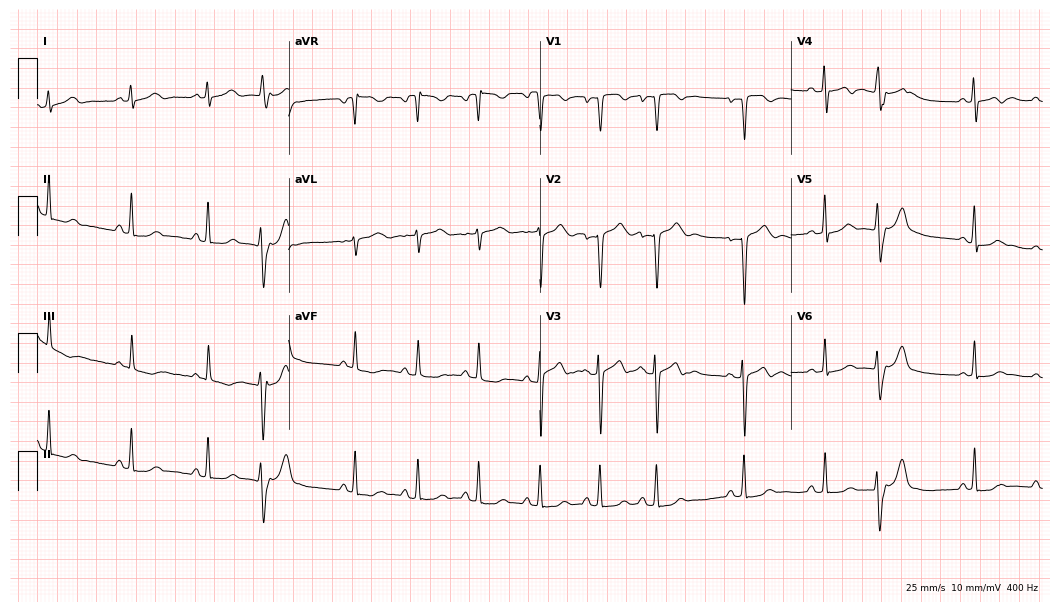
12-lead ECG from a female patient, 23 years old. Screened for six findings — first-degree AV block, right bundle branch block, left bundle branch block, sinus bradycardia, atrial fibrillation, sinus tachycardia — none is recorded.